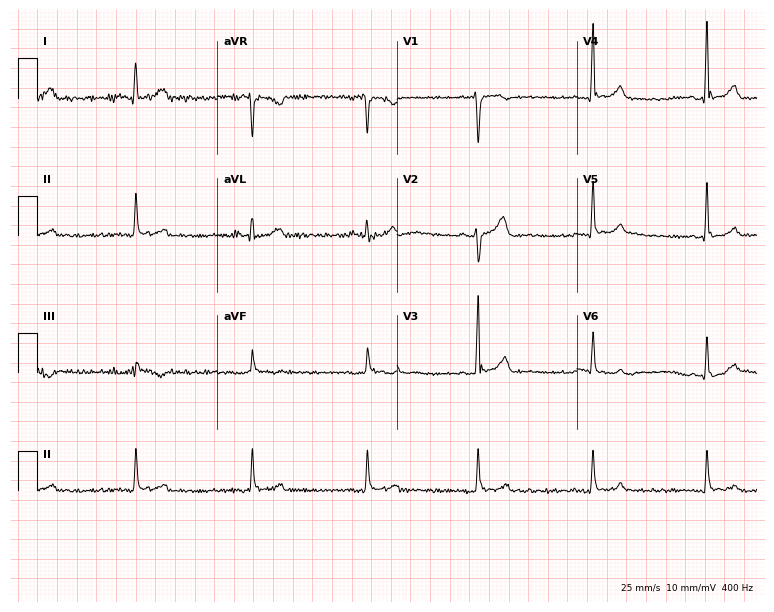
ECG — a male patient, 34 years old. Screened for six findings — first-degree AV block, right bundle branch block, left bundle branch block, sinus bradycardia, atrial fibrillation, sinus tachycardia — none is recorded.